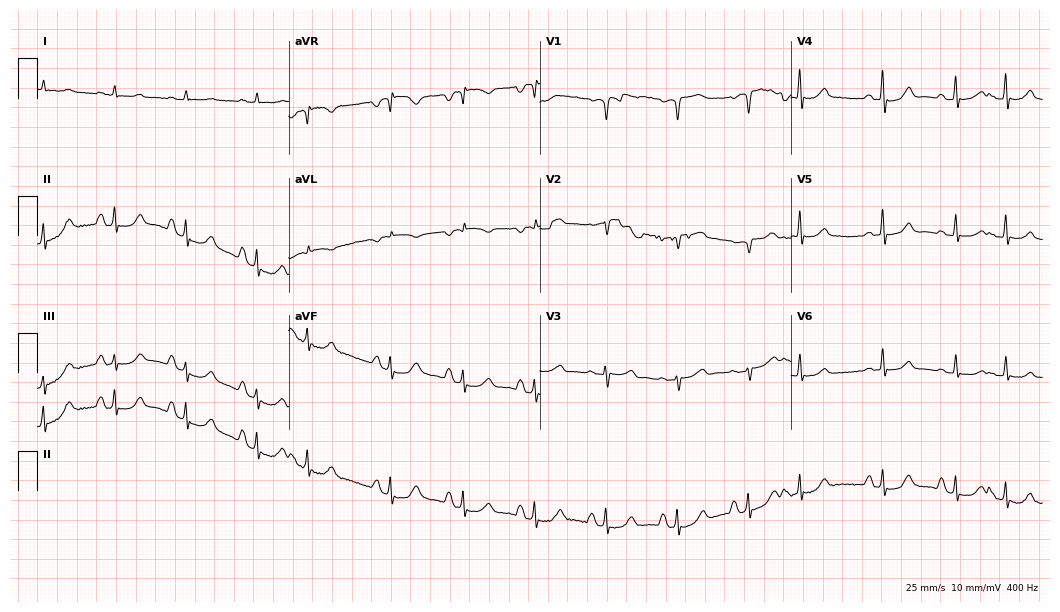
12-lead ECG (10.2-second recording at 400 Hz) from a male patient, 85 years old. Screened for six findings — first-degree AV block, right bundle branch block, left bundle branch block, sinus bradycardia, atrial fibrillation, sinus tachycardia — none is recorded. Other findings, if any, are not listed.